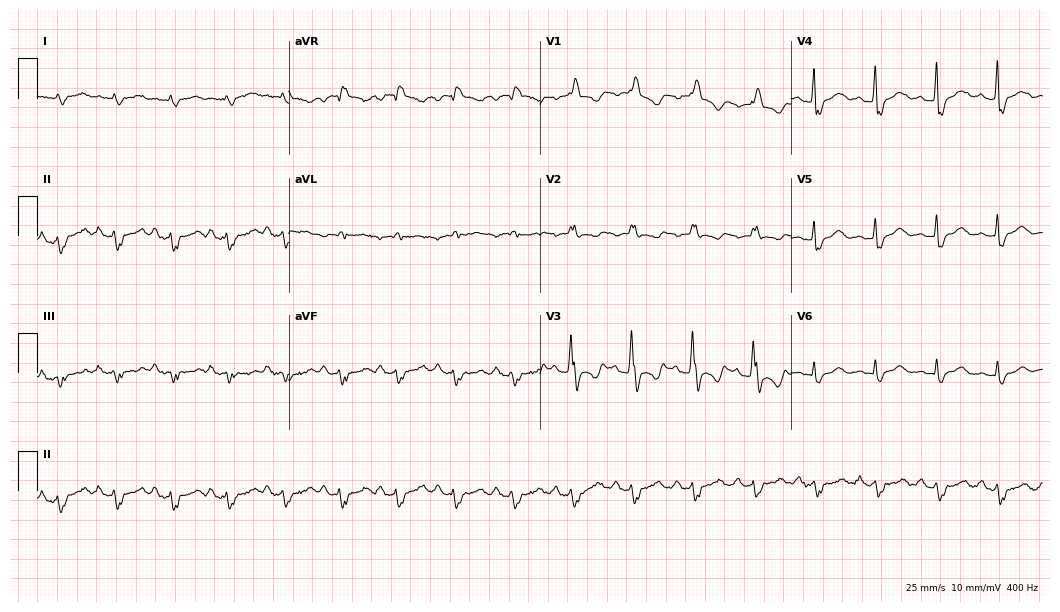
Electrocardiogram (10.2-second recording at 400 Hz), a 62-year-old male. Interpretation includes right bundle branch block.